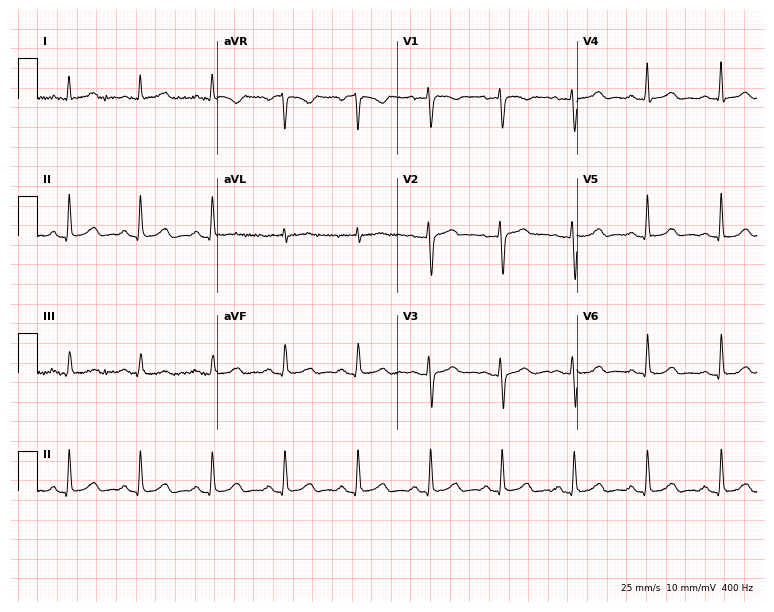
12-lead ECG from a 52-year-old woman. Recorded interpretation: within normal limits.